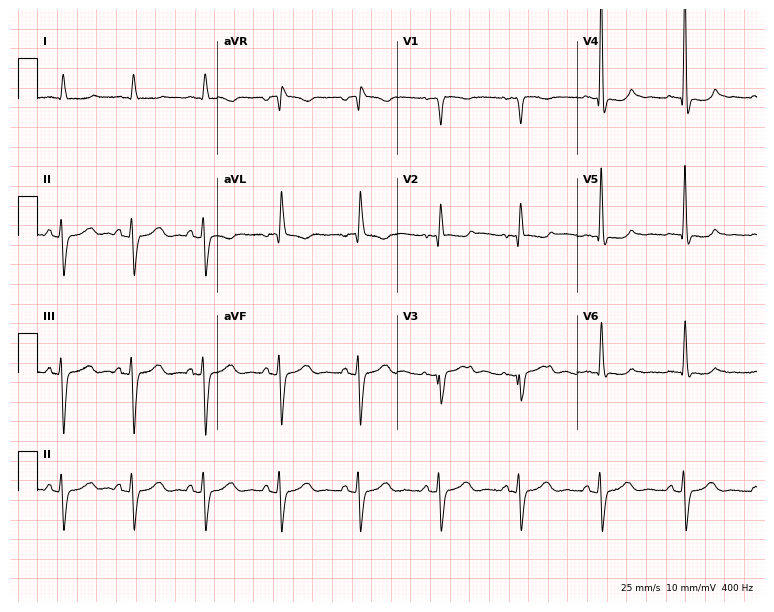
12-lead ECG from a 71-year-old female. No first-degree AV block, right bundle branch block, left bundle branch block, sinus bradycardia, atrial fibrillation or sinus tachycardia recorded for this tracing.